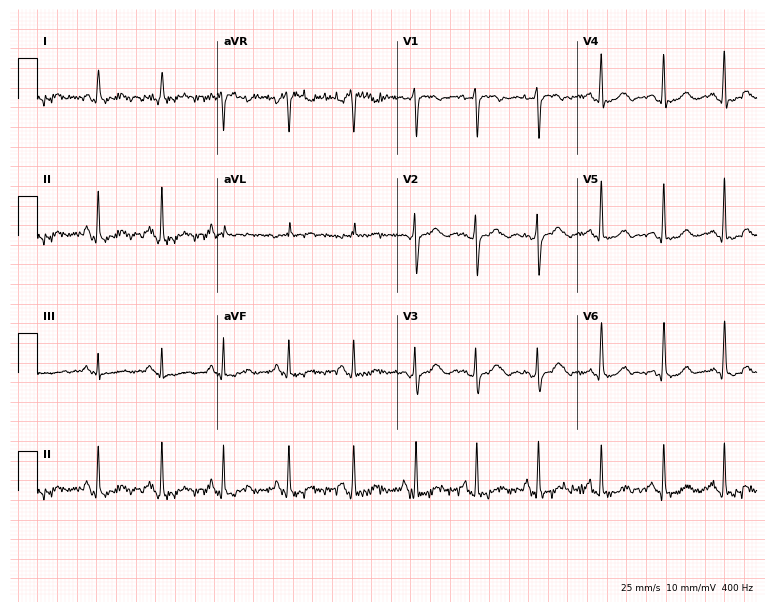
ECG — a 47-year-old woman. Screened for six findings — first-degree AV block, right bundle branch block (RBBB), left bundle branch block (LBBB), sinus bradycardia, atrial fibrillation (AF), sinus tachycardia — none is recorded. Only these six findings were labelled.